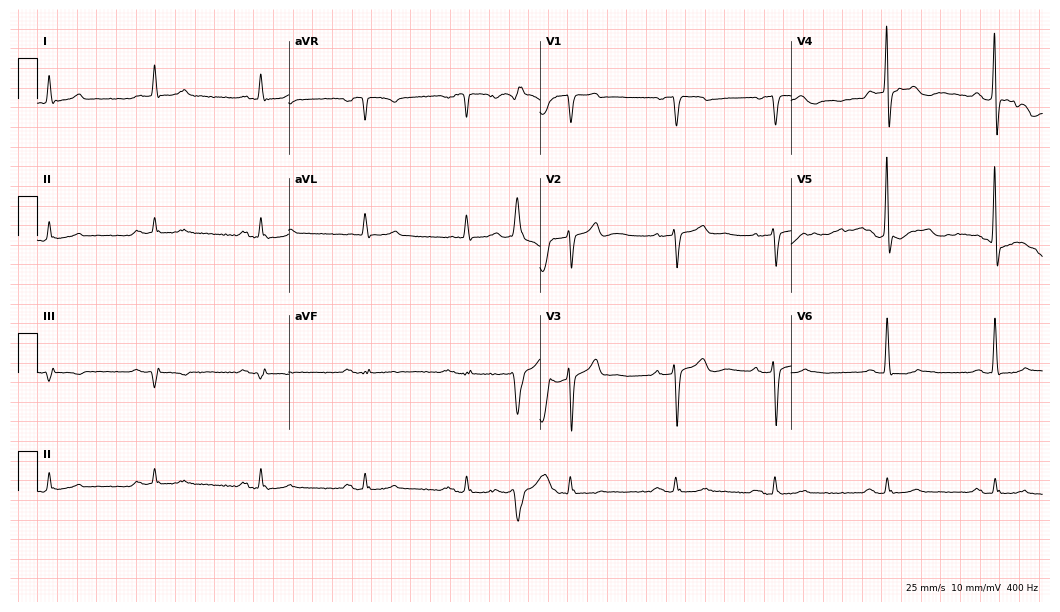
ECG (10.2-second recording at 400 Hz) — a male patient, 79 years old. Screened for six findings — first-degree AV block, right bundle branch block (RBBB), left bundle branch block (LBBB), sinus bradycardia, atrial fibrillation (AF), sinus tachycardia — none is recorded. Other findings, if any, are not listed.